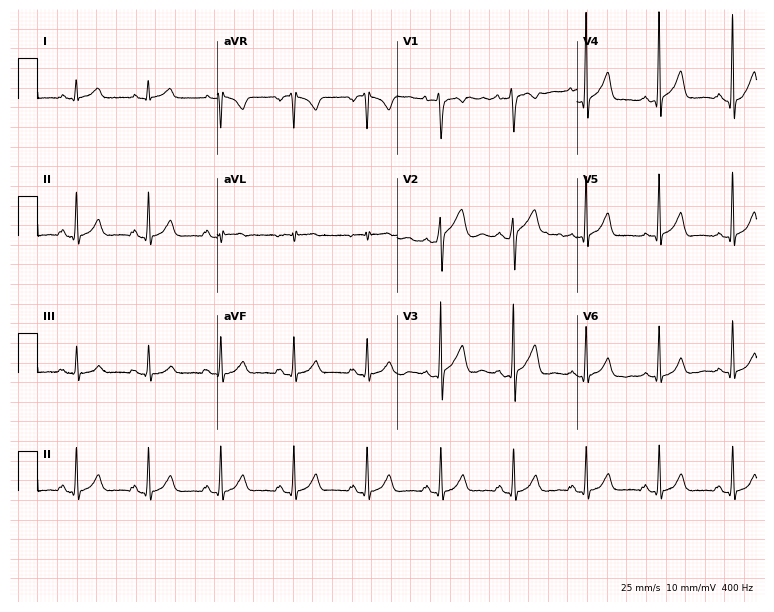
Resting 12-lead electrocardiogram (7.3-second recording at 400 Hz). Patient: a 48-year-old female. None of these six findings is recorded: first-degree AV block, right bundle branch block, left bundle branch block, sinus bradycardia, atrial fibrillation, sinus tachycardia. Other findings, if any, are not listed.